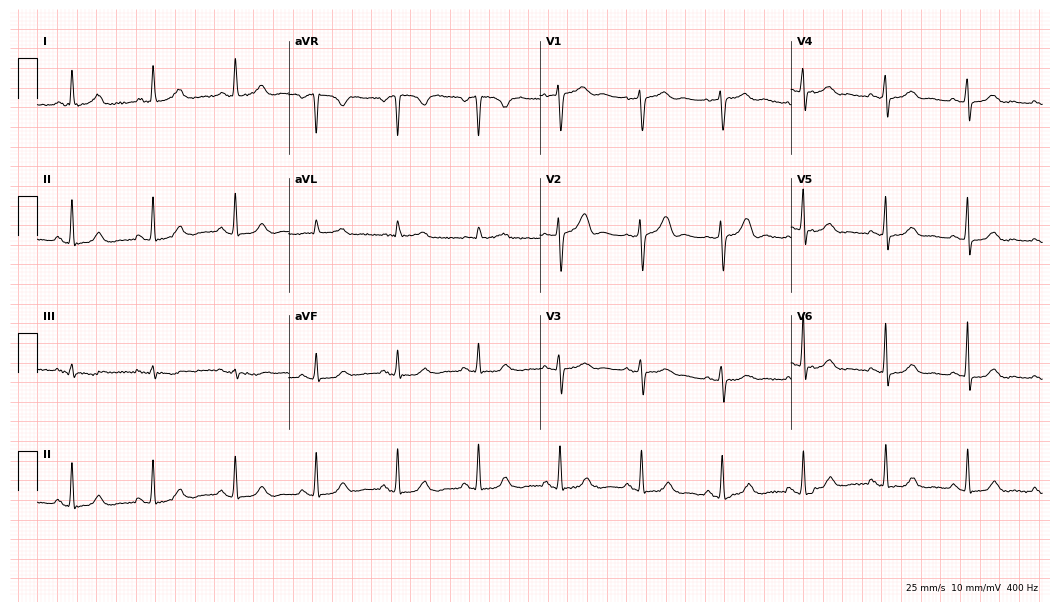
Electrocardiogram, a female, 68 years old. Overall reading on record: normal ECG.